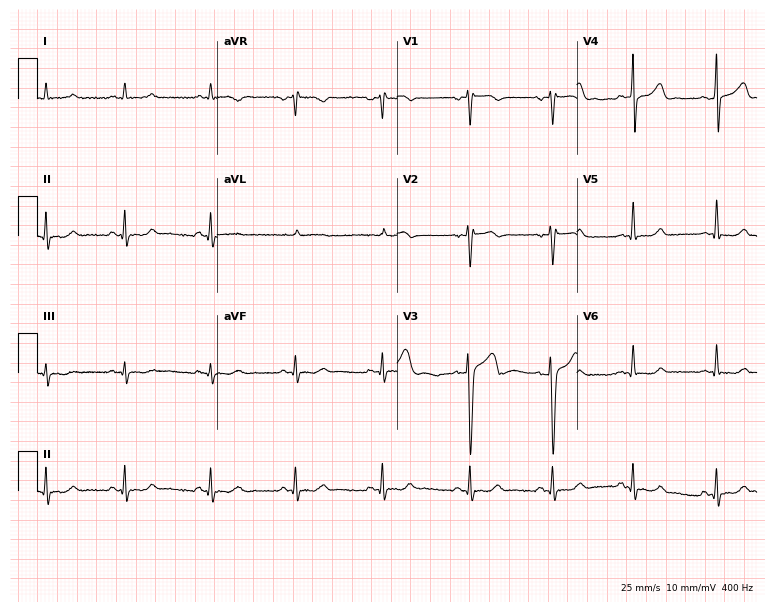
Standard 12-lead ECG recorded from a male, 24 years old. Read as a normal ECG.